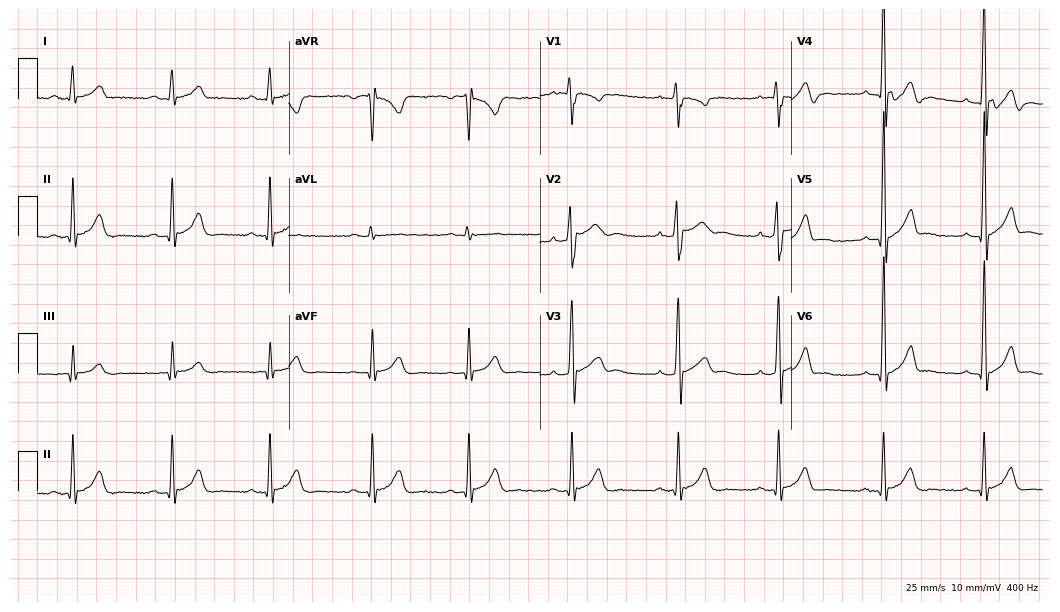
Resting 12-lead electrocardiogram (10.2-second recording at 400 Hz). Patient: an 18-year-old male. Read as a normal ECG.